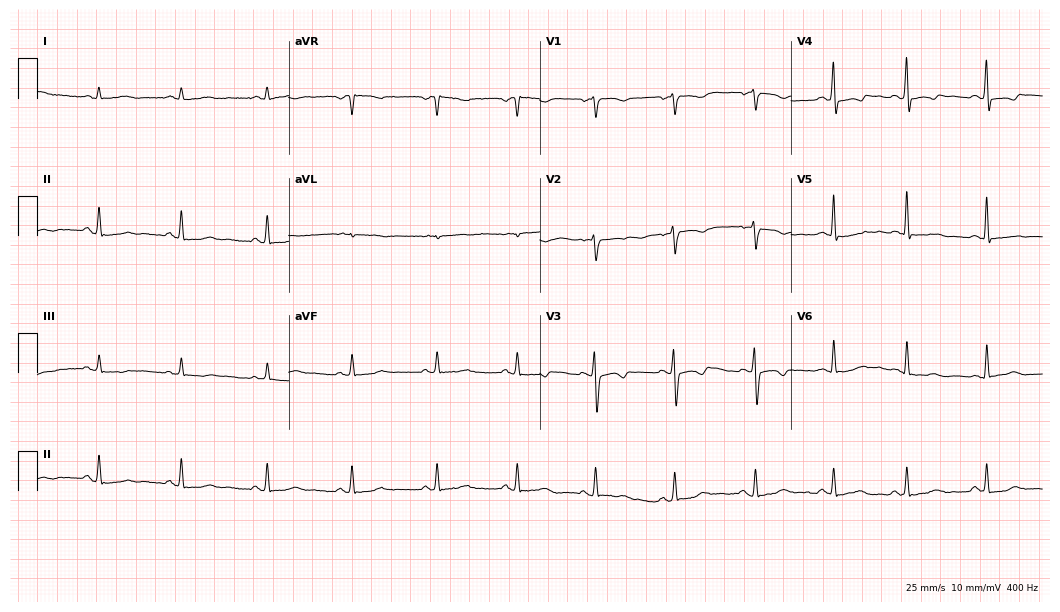
Resting 12-lead electrocardiogram (10.2-second recording at 400 Hz). Patient: a woman, 40 years old. None of these six findings is recorded: first-degree AV block, right bundle branch block, left bundle branch block, sinus bradycardia, atrial fibrillation, sinus tachycardia. Findings outside these six are not listed.